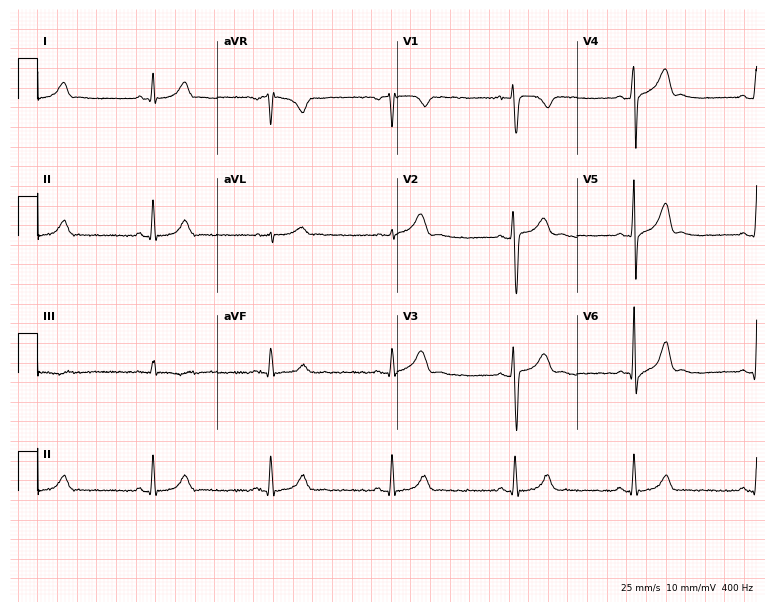
12-lead ECG from a 21-year-old male patient (7.3-second recording at 400 Hz). No first-degree AV block, right bundle branch block, left bundle branch block, sinus bradycardia, atrial fibrillation or sinus tachycardia recorded for this tracing.